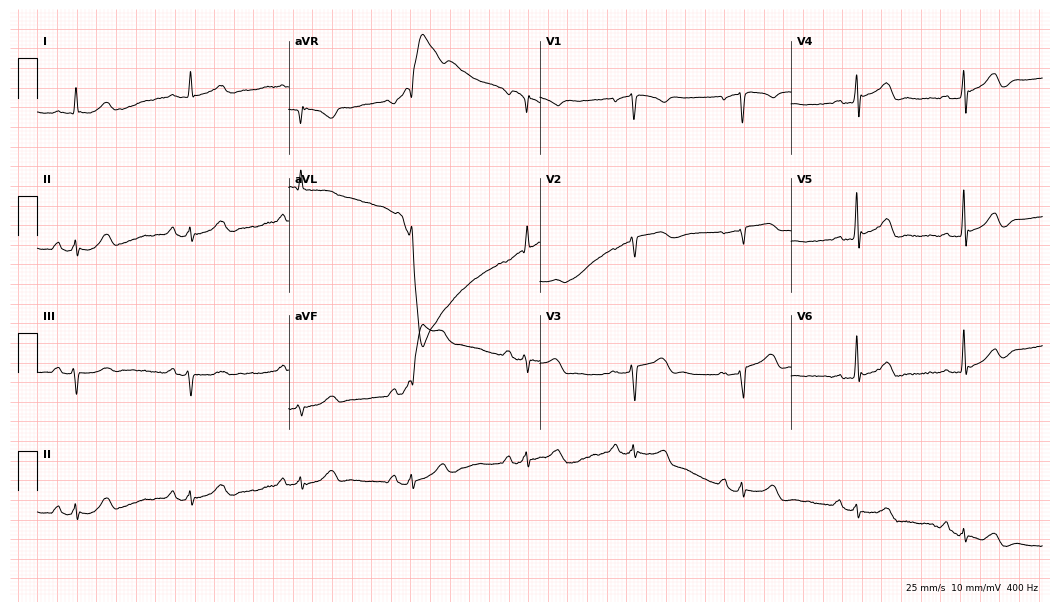
Standard 12-lead ECG recorded from a male patient, 76 years old (10.2-second recording at 400 Hz). None of these six findings is recorded: first-degree AV block, right bundle branch block, left bundle branch block, sinus bradycardia, atrial fibrillation, sinus tachycardia.